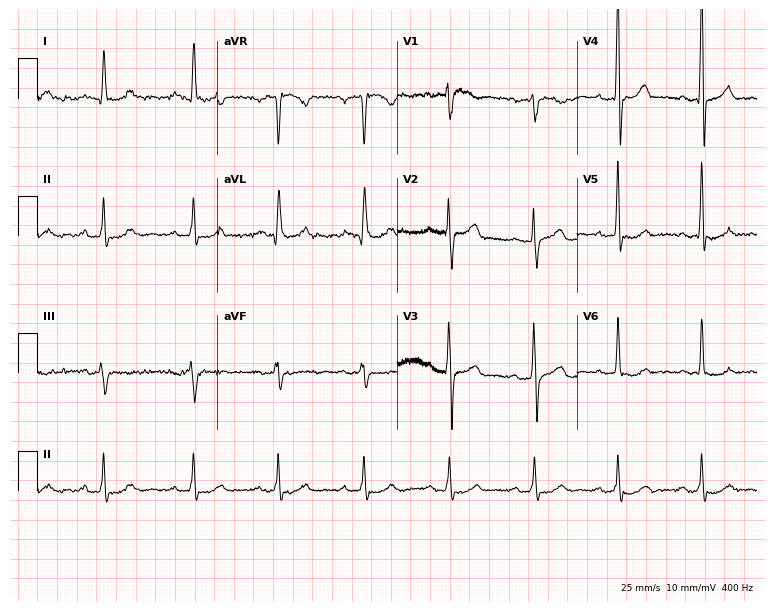
Electrocardiogram (7.3-second recording at 400 Hz), a 47-year-old man. Of the six screened findings (first-degree AV block, right bundle branch block, left bundle branch block, sinus bradycardia, atrial fibrillation, sinus tachycardia), none is recorded.